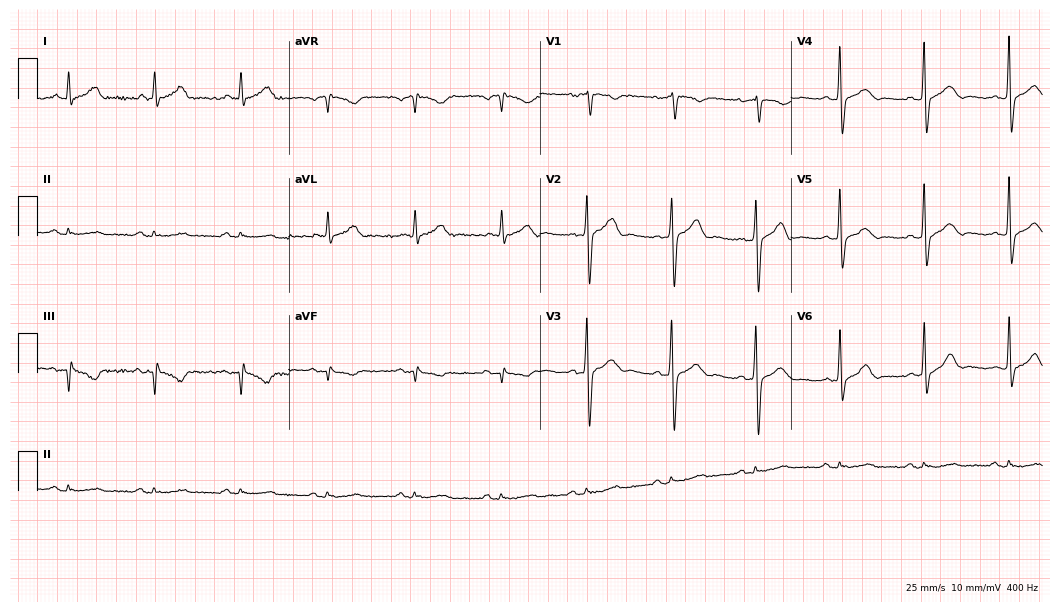
Electrocardiogram, a 75-year-old man. Of the six screened findings (first-degree AV block, right bundle branch block, left bundle branch block, sinus bradycardia, atrial fibrillation, sinus tachycardia), none is recorded. Other findings, if any, are not listed.